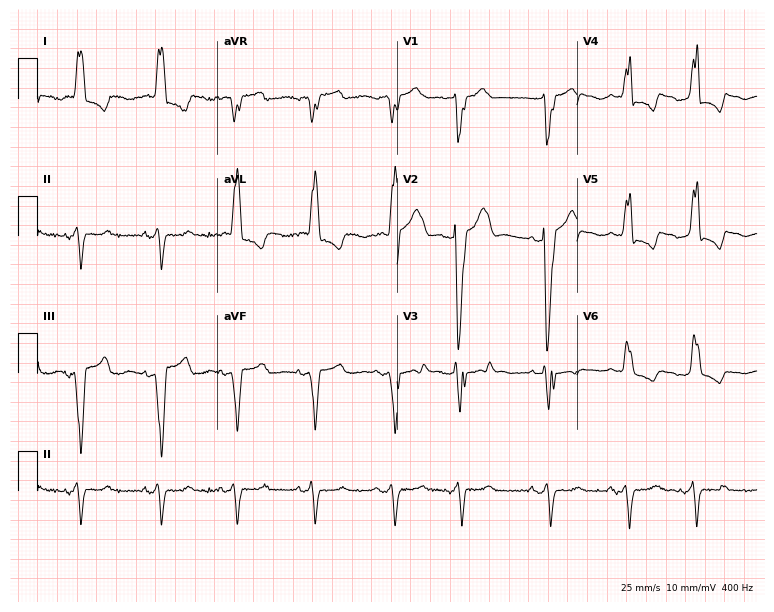
12-lead ECG from an 88-year-old female patient. No first-degree AV block, right bundle branch block (RBBB), left bundle branch block (LBBB), sinus bradycardia, atrial fibrillation (AF) or sinus tachycardia recorded for this tracing.